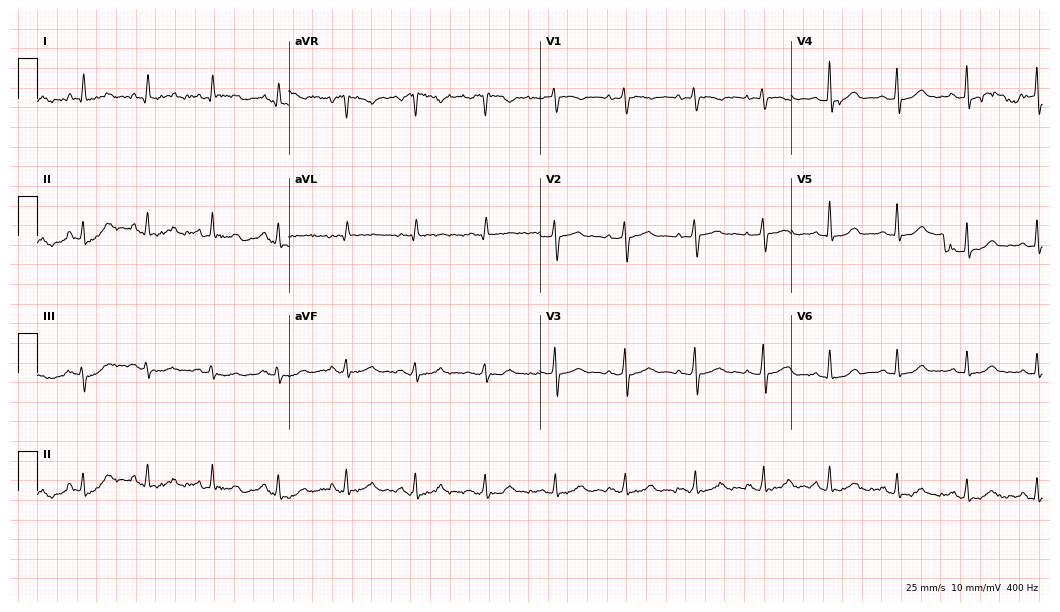
12-lead ECG from a 57-year-old female patient. Recorded interpretation: within normal limits.